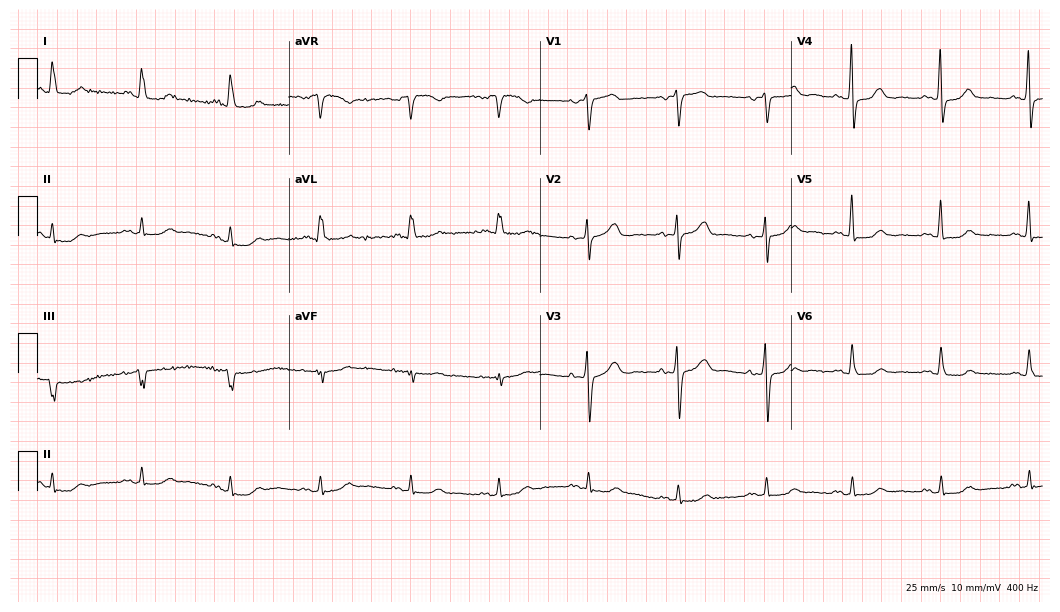
12-lead ECG from a 73-year-old female patient. Labelled as a normal ECG.